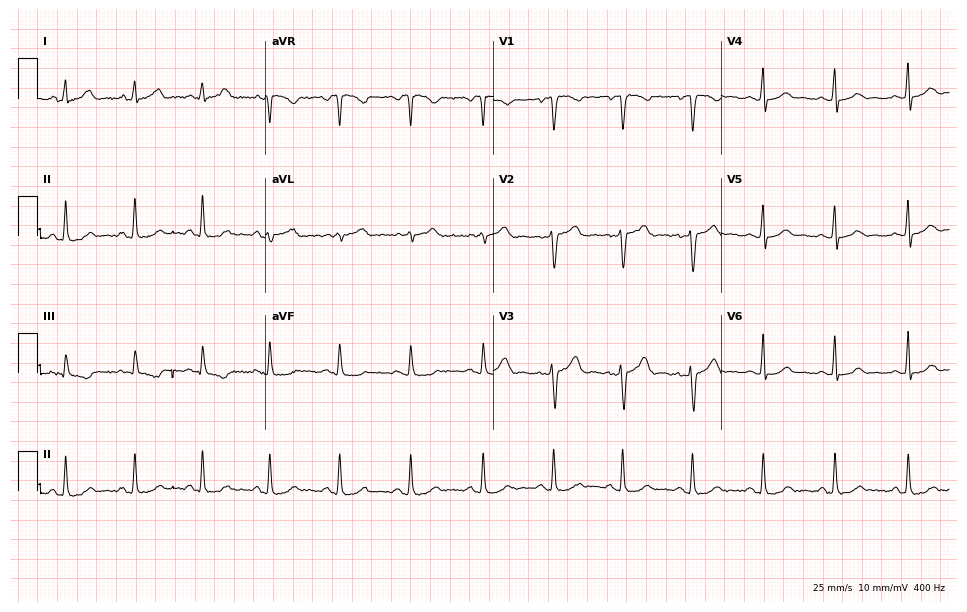
Resting 12-lead electrocardiogram. Patient: a 37-year-old female. Read as a normal ECG.